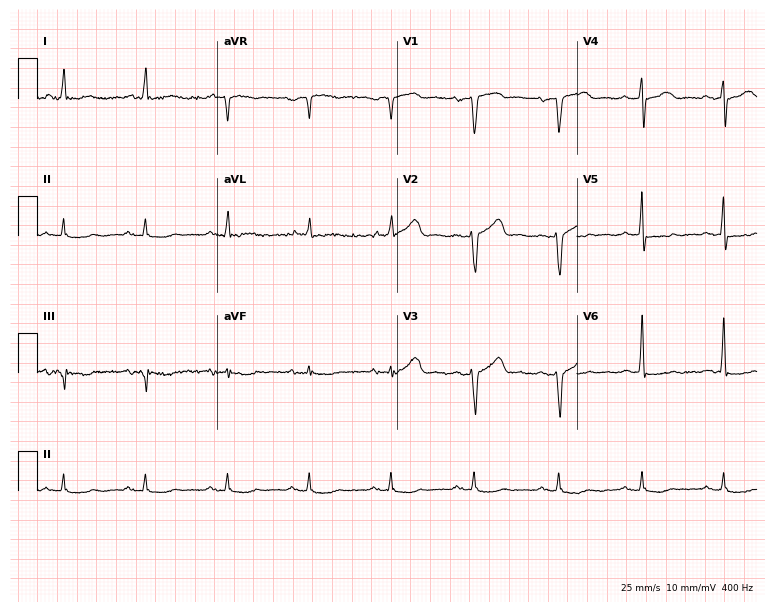
Resting 12-lead electrocardiogram. Patient: a 78-year-old male. None of these six findings is recorded: first-degree AV block, right bundle branch block, left bundle branch block, sinus bradycardia, atrial fibrillation, sinus tachycardia. Other findings, if any, are not listed.